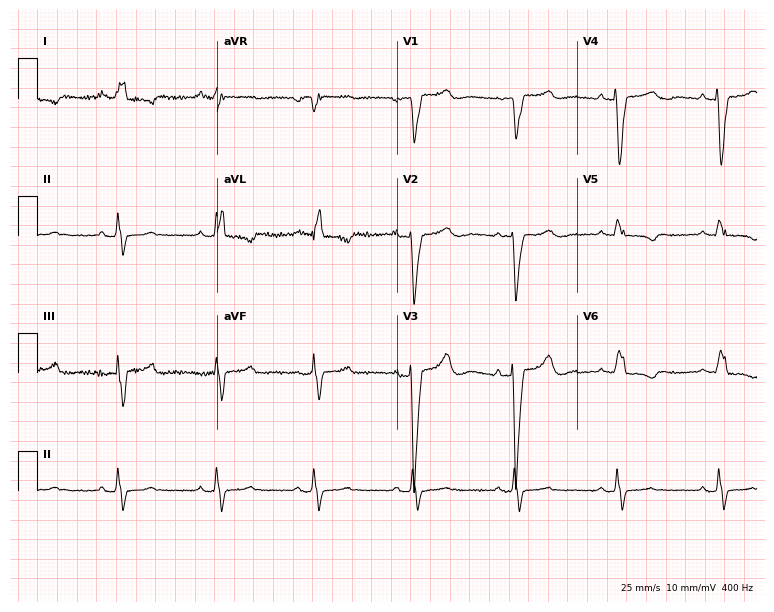
Standard 12-lead ECG recorded from a woman, 69 years old (7.3-second recording at 400 Hz). The tracing shows left bundle branch block.